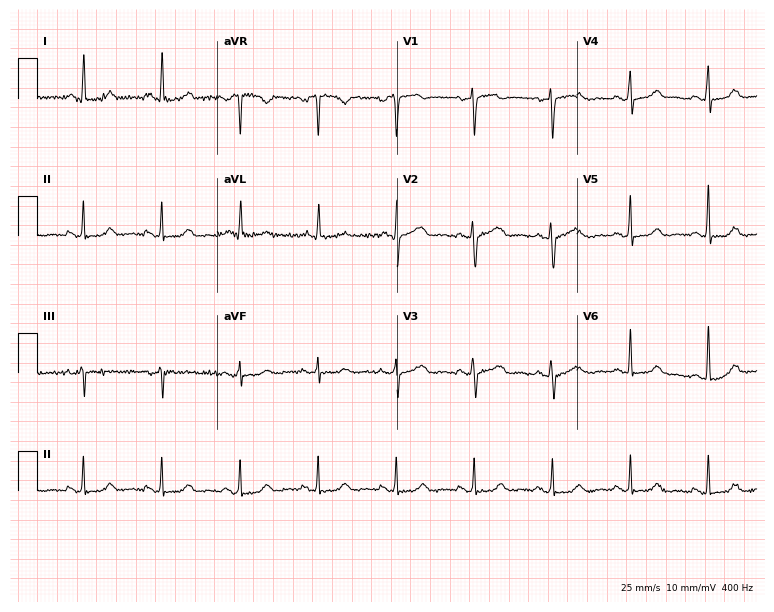
Electrocardiogram (7.3-second recording at 400 Hz), a female patient, 54 years old. Overall reading on record: normal ECG.